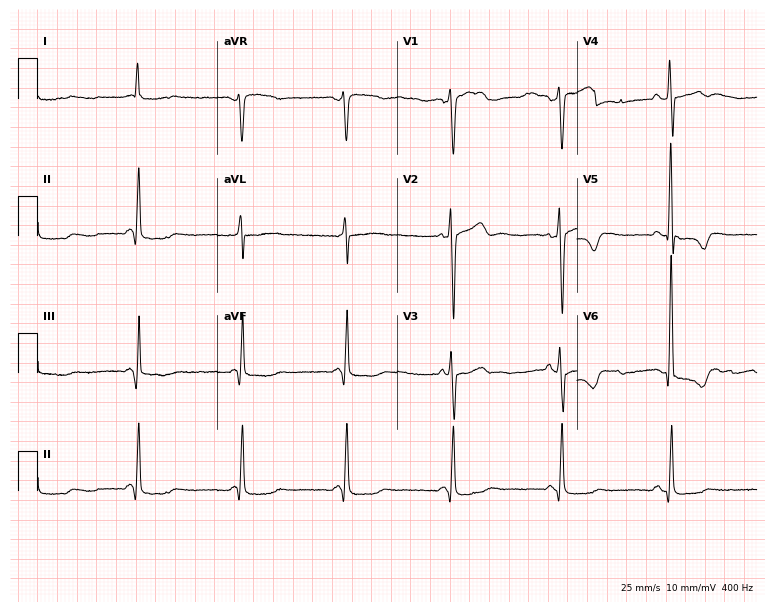
Standard 12-lead ECG recorded from a male, 61 years old. None of these six findings is recorded: first-degree AV block, right bundle branch block, left bundle branch block, sinus bradycardia, atrial fibrillation, sinus tachycardia. Findings outside these six are not listed.